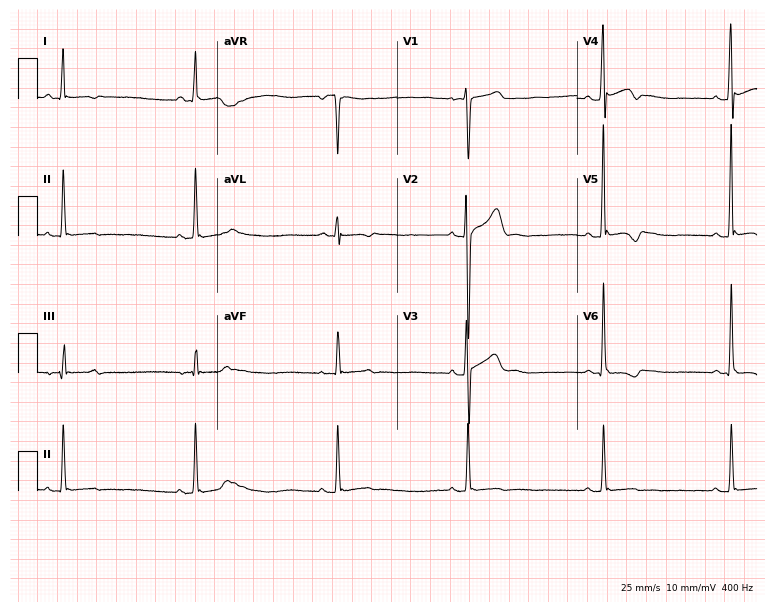
Electrocardiogram (7.3-second recording at 400 Hz), a man, 20 years old. Interpretation includes sinus bradycardia (a sinus rate of 50 beats per minute or less).